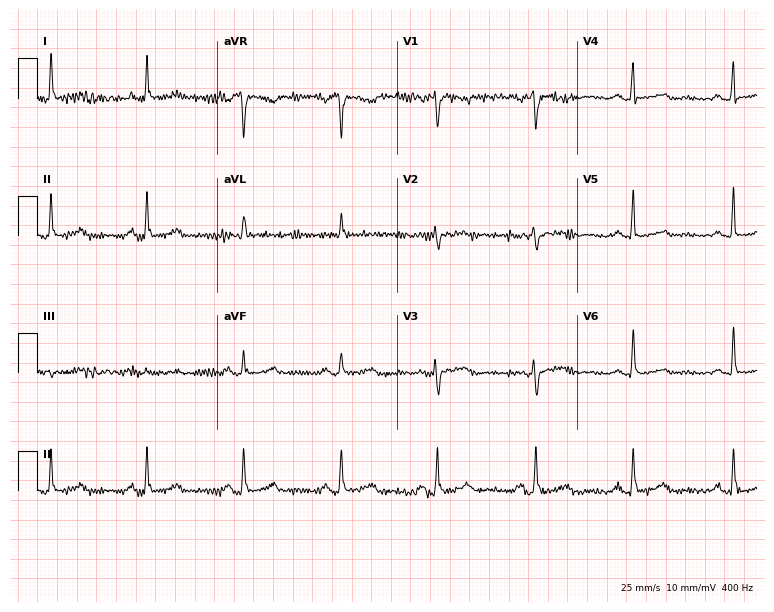
ECG — a woman, 62 years old. Labelled as a normal ECG.